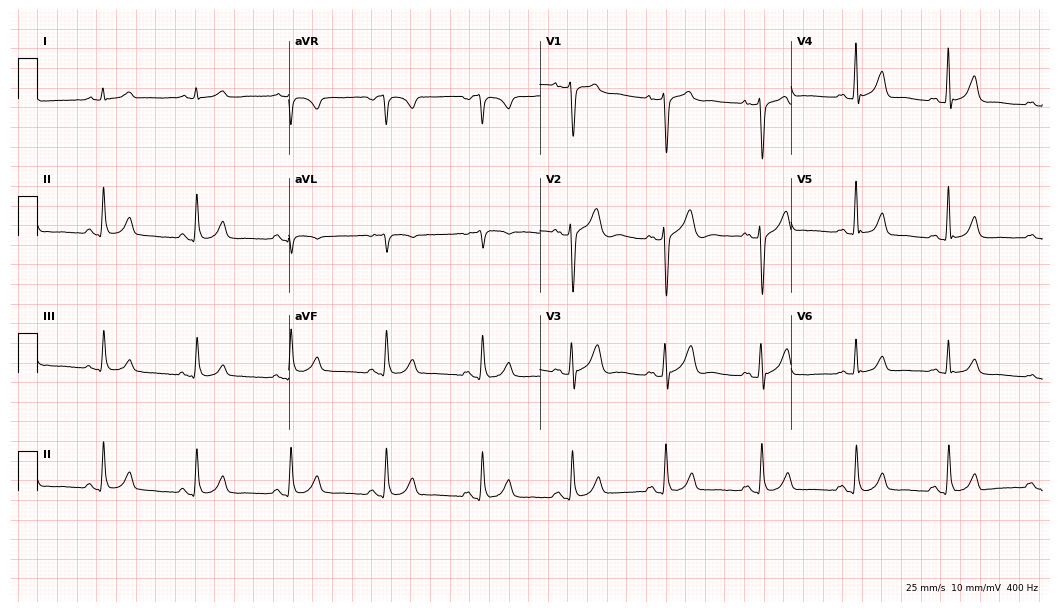
12-lead ECG from a 58-year-old male patient. Screened for six findings — first-degree AV block, right bundle branch block, left bundle branch block, sinus bradycardia, atrial fibrillation, sinus tachycardia — none is recorded.